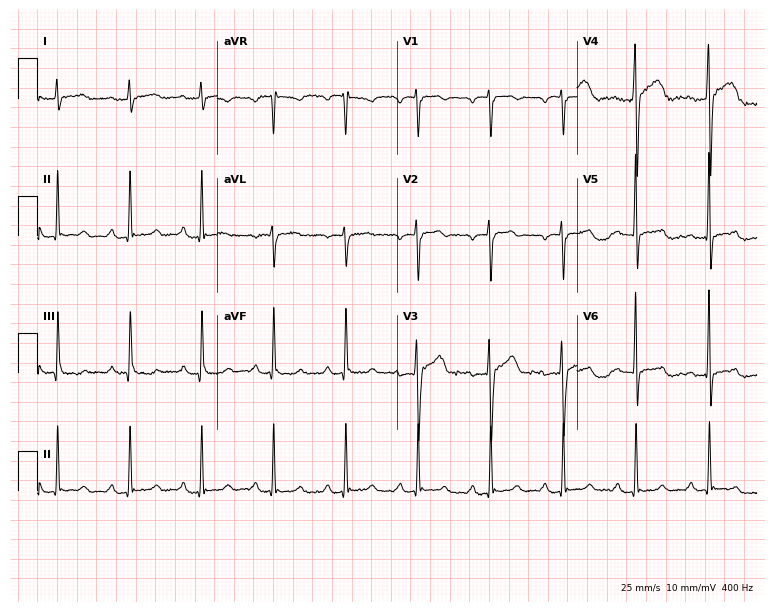
Standard 12-lead ECG recorded from a man, 35 years old. None of these six findings is recorded: first-degree AV block, right bundle branch block, left bundle branch block, sinus bradycardia, atrial fibrillation, sinus tachycardia. Other findings, if any, are not listed.